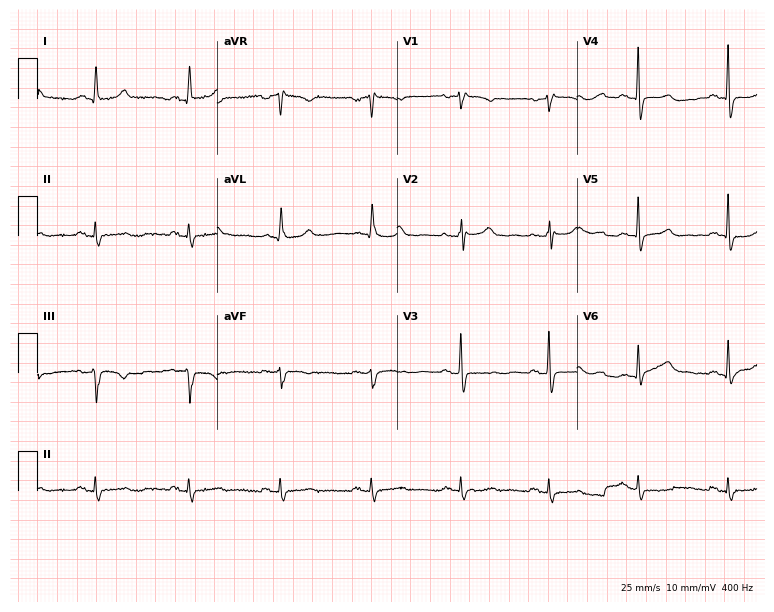
12-lead ECG from a female, 81 years old (7.3-second recording at 400 Hz). No first-degree AV block, right bundle branch block, left bundle branch block, sinus bradycardia, atrial fibrillation or sinus tachycardia recorded for this tracing.